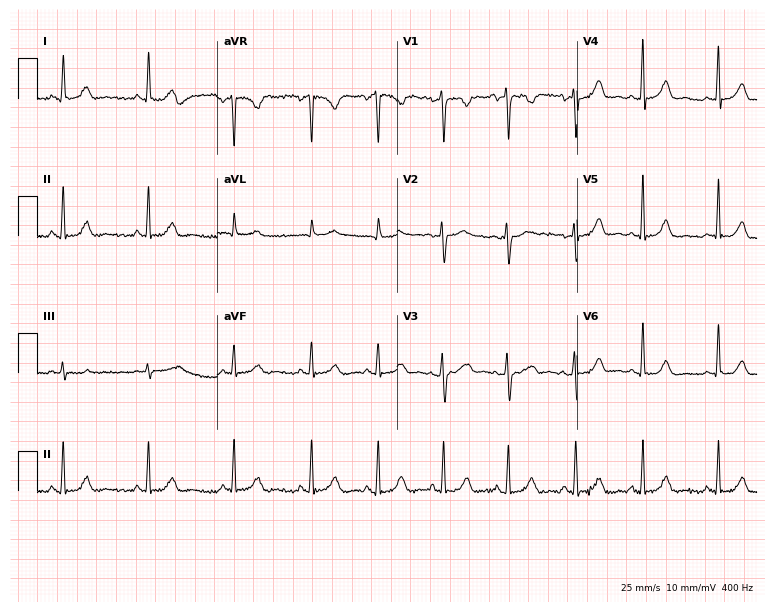
Electrocardiogram (7.3-second recording at 400 Hz), a female, 41 years old. Overall reading on record: normal ECG.